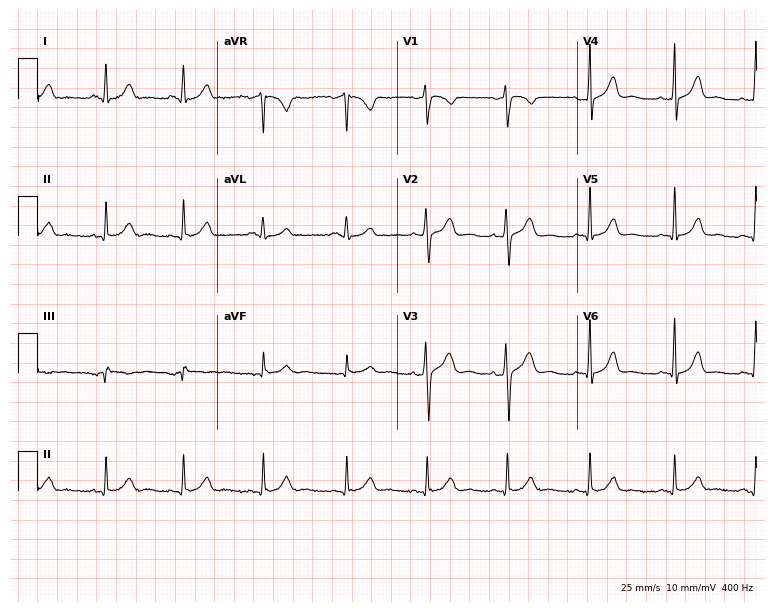
ECG — a female patient, 28 years old. Labelled as a normal ECG.